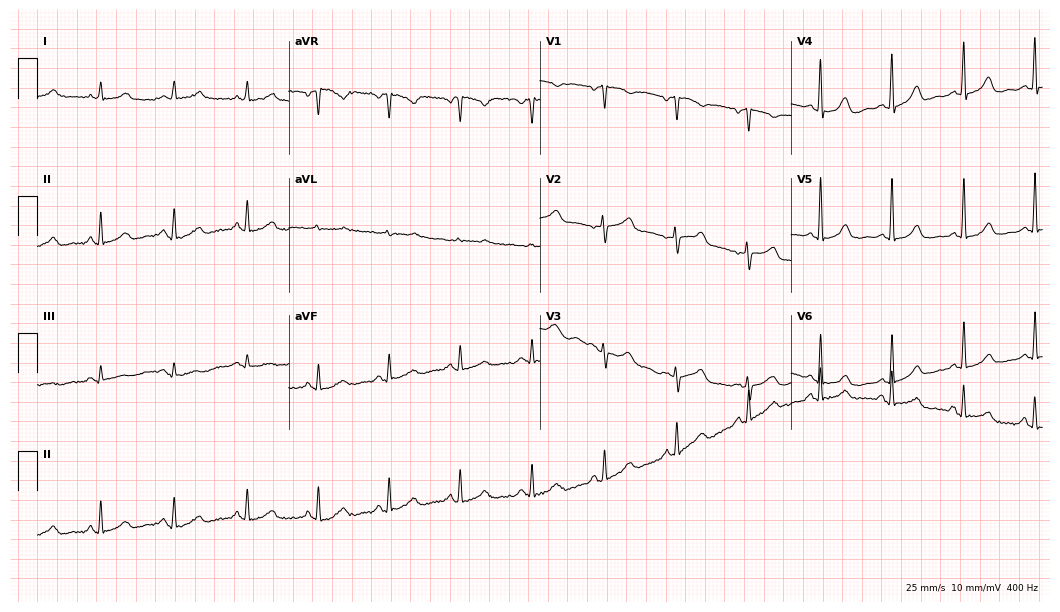
Resting 12-lead electrocardiogram. Patient: a 70-year-old female. Read as a normal ECG.